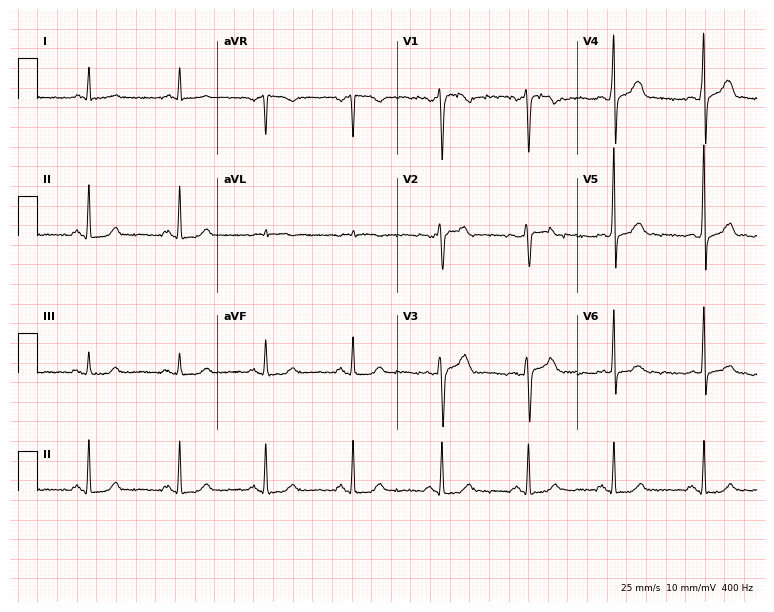
Standard 12-lead ECG recorded from a 66-year-old male. None of these six findings is recorded: first-degree AV block, right bundle branch block (RBBB), left bundle branch block (LBBB), sinus bradycardia, atrial fibrillation (AF), sinus tachycardia. Only these six findings were labelled.